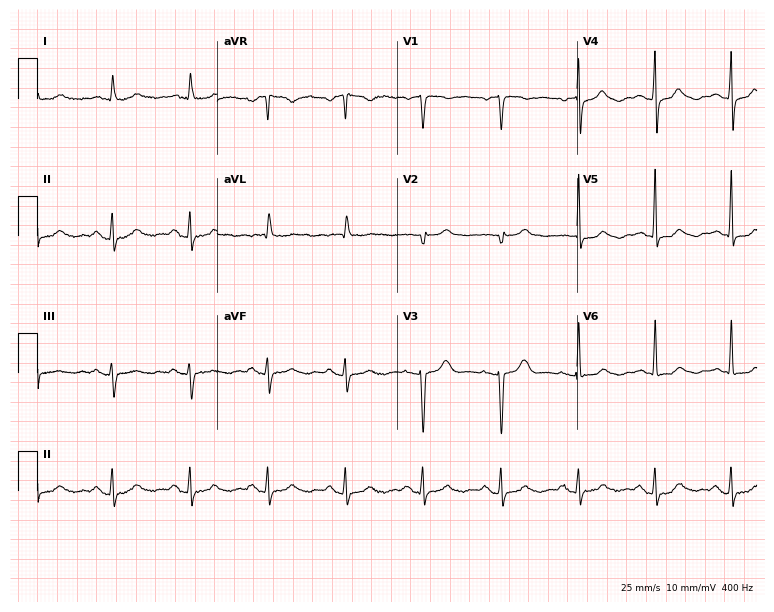
Electrocardiogram (7.3-second recording at 400 Hz), a 72-year-old female. Of the six screened findings (first-degree AV block, right bundle branch block (RBBB), left bundle branch block (LBBB), sinus bradycardia, atrial fibrillation (AF), sinus tachycardia), none is recorded.